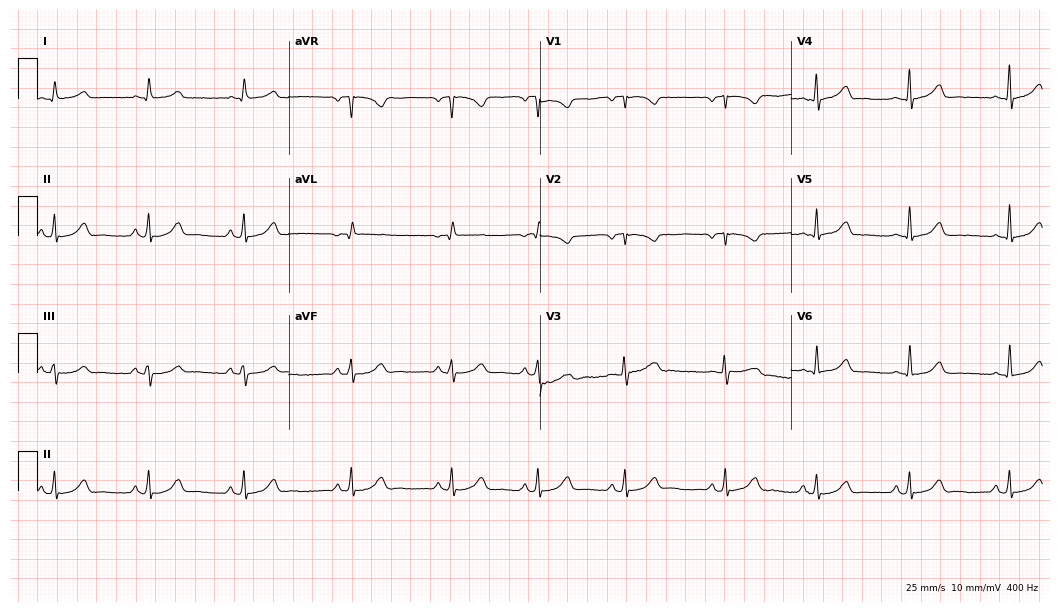
Resting 12-lead electrocardiogram. Patient: a 20-year-old female. Read as a normal ECG.